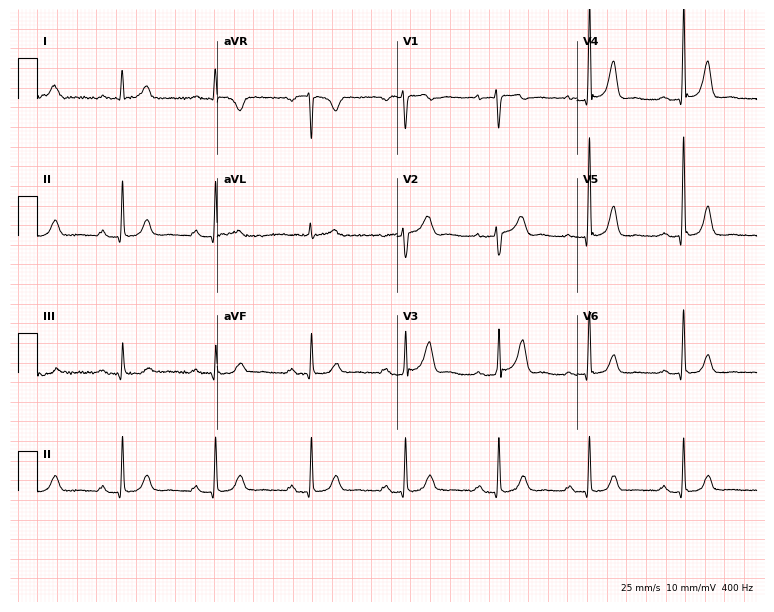
Resting 12-lead electrocardiogram. Patient: a female, 56 years old. None of these six findings is recorded: first-degree AV block, right bundle branch block, left bundle branch block, sinus bradycardia, atrial fibrillation, sinus tachycardia.